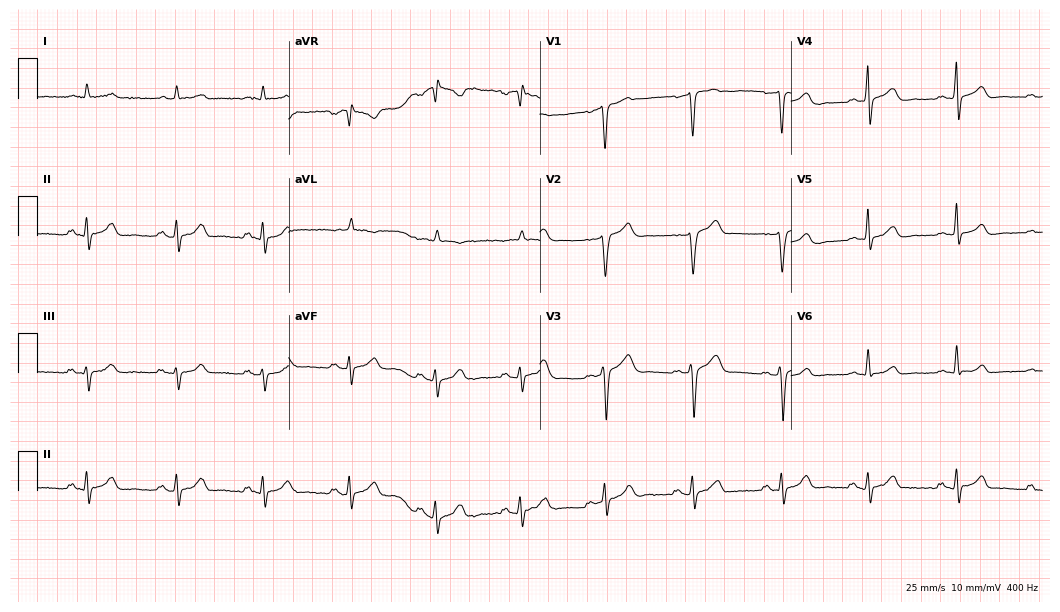
Electrocardiogram, a male patient, 54 years old. Overall reading on record: normal ECG.